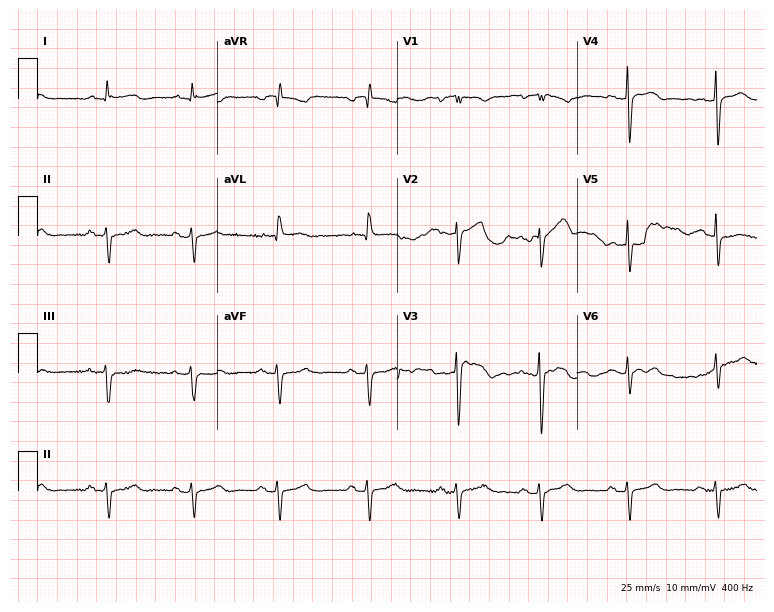
ECG (7.3-second recording at 400 Hz) — a woman, 78 years old. Screened for six findings — first-degree AV block, right bundle branch block, left bundle branch block, sinus bradycardia, atrial fibrillation, sinus tachycardia — none is recorded. Other findings, if any, are not listed.